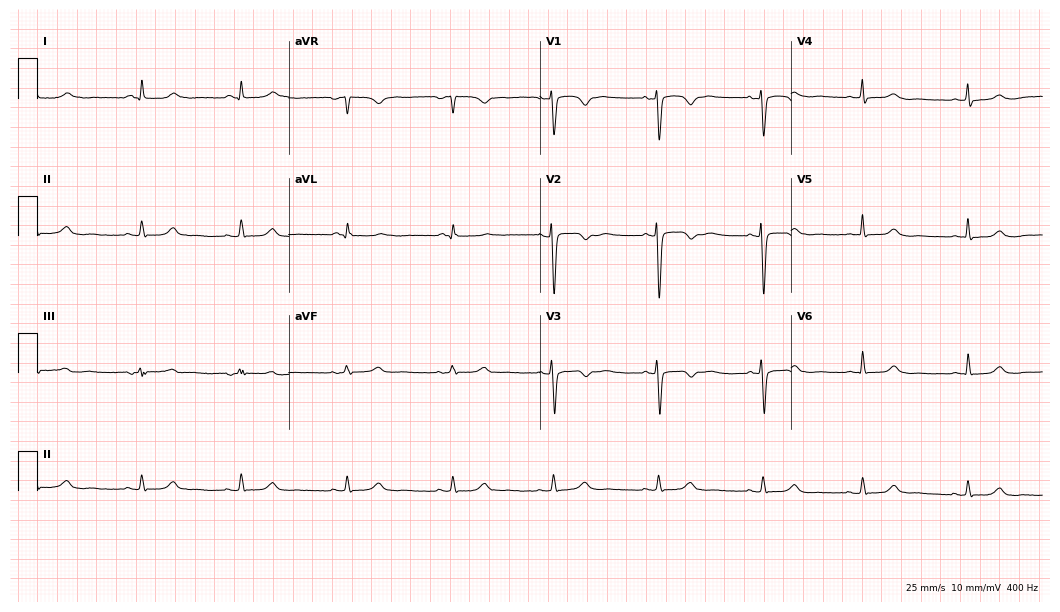
Resting 12-lead electrocardiogram. Patient: a female, 64 years old. None of these six findings is recorded: first-degree AV block, right bundle branch block, left bundle branch block, sinus bradycardia, atrial fibrillation, sinus tachycardia.